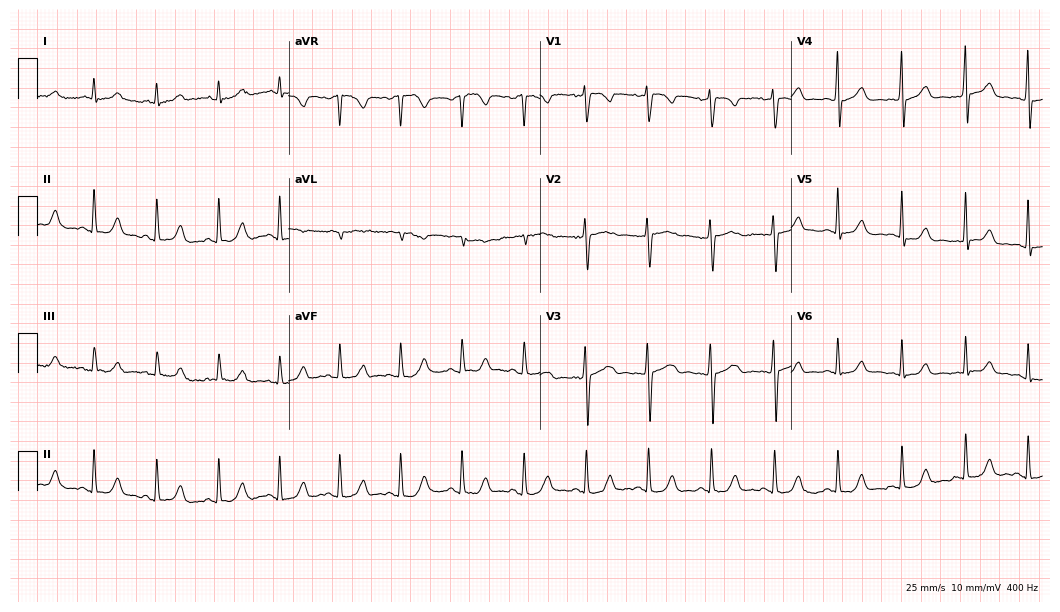
12-lead ECG from a female, 52 years old. No first-degree AV block, right bundle branch block, left bundle branch block, sinus bradycardia, atrial fibrillation or sinus tachycardia recorded for this tracing.